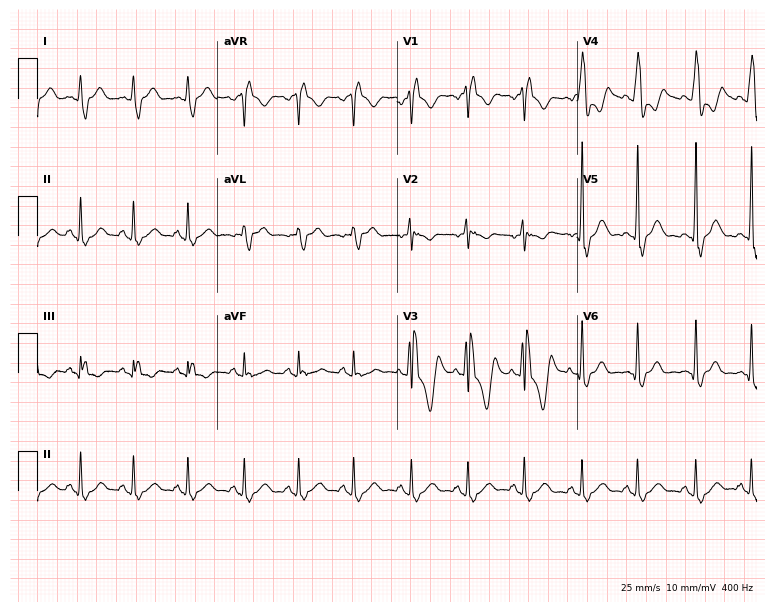
Resting 12-lead electrocardiogram. Patient: a 23-year-old male. The tracing shows right bundle branch block.